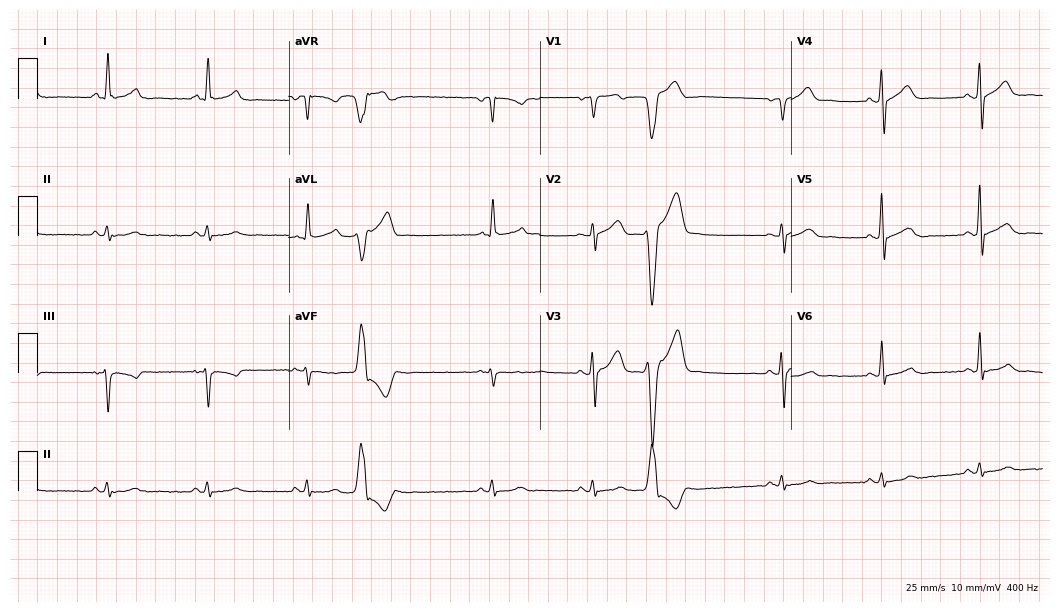
ECG — a 66-year-old male. Screened for six findings — first-degree AV block, right bundle branch block, left bundle branch block, sinus bradycardia, atrial fibrillation, sinus tachycardia — none is recorded. Only these six findings were labelled.